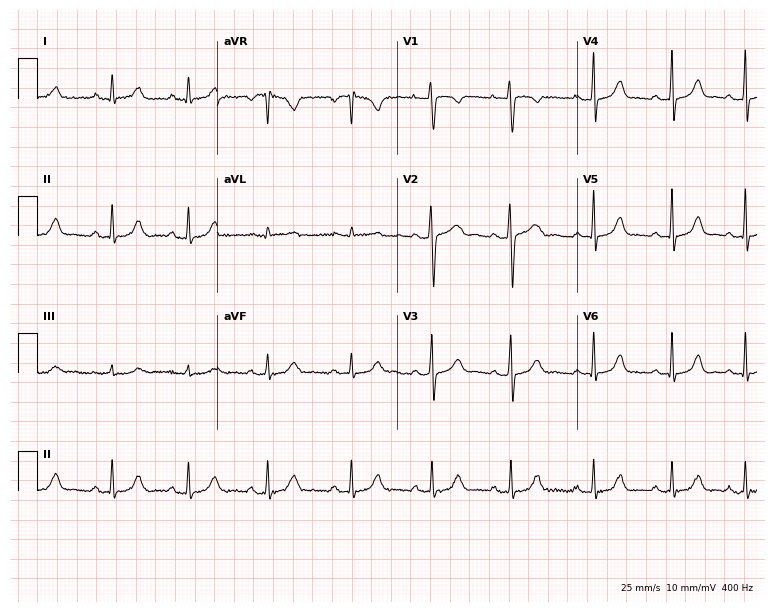
Standard 12-lead ECG recorded from a 23-year-old female patient (7.3-second recording at 400 Hz). Read as a normal ECG.